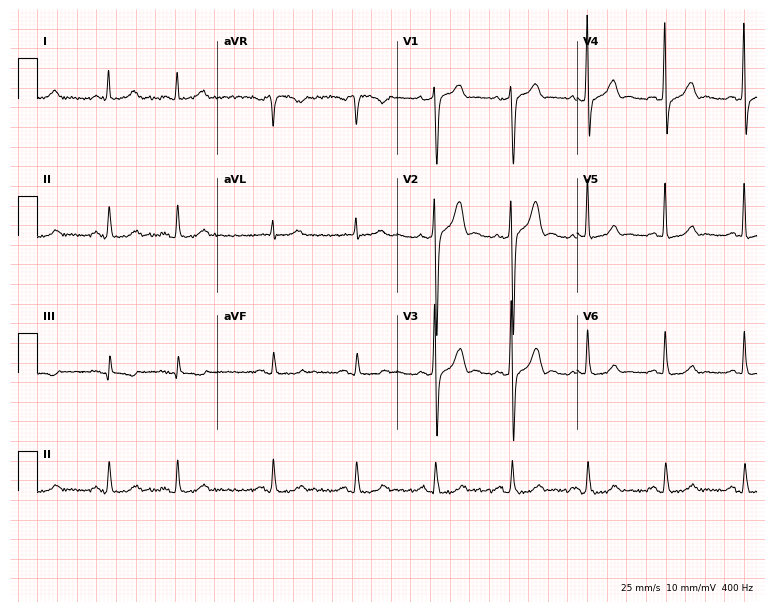
ECG — a 69-year-old man. Screened for six findings — first-degree AV block, right bundle branch block, left bundle branch block, sinus bradycardia, atrial fibrillation, sinus tachycardia — none is recorded. Findings outside these six are not listed.